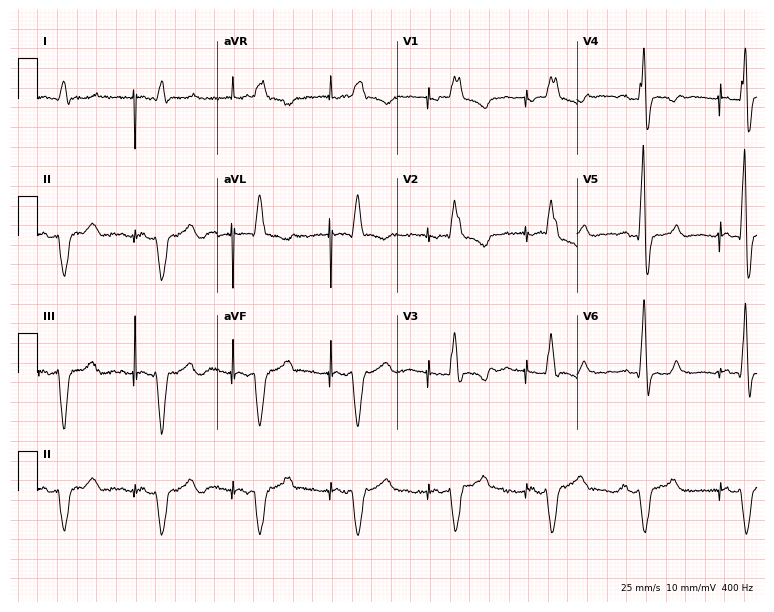
ECG (7.3-second recording at 400 Hz) — a male, 67 years old. Screened for six findings — first-degree AV block, right bundle branch block, left bundle branch block, sinus bradycardia, atrial fibrillation, sinus tachycardia — none is recorded. Findings outside these six are not listed.